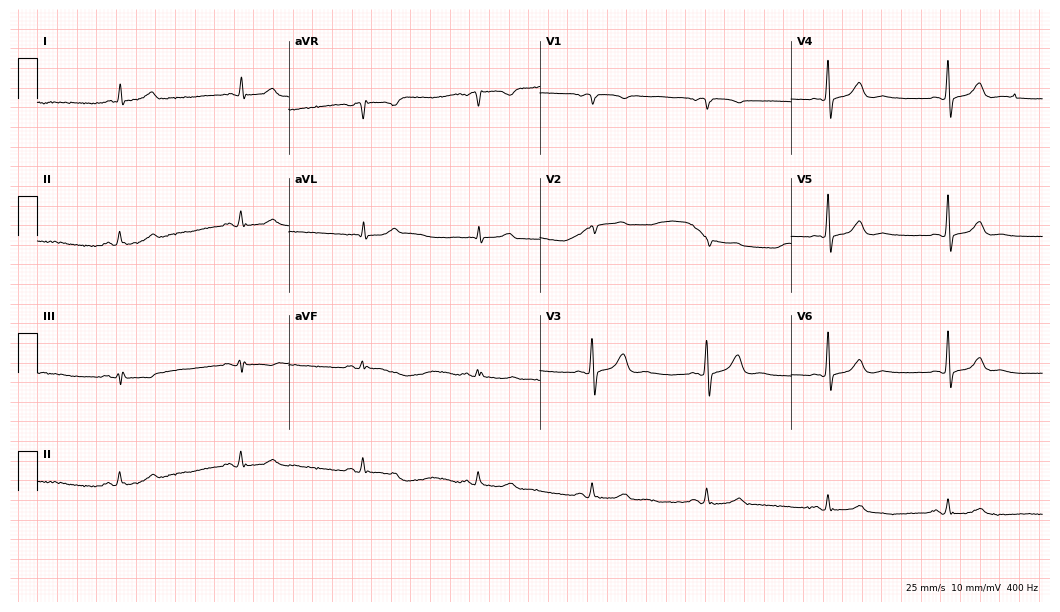
12-lead ECG from a 66-year-old woman. Shows sinus bradycardia (a sinus rate of 50 beats per minute or less).